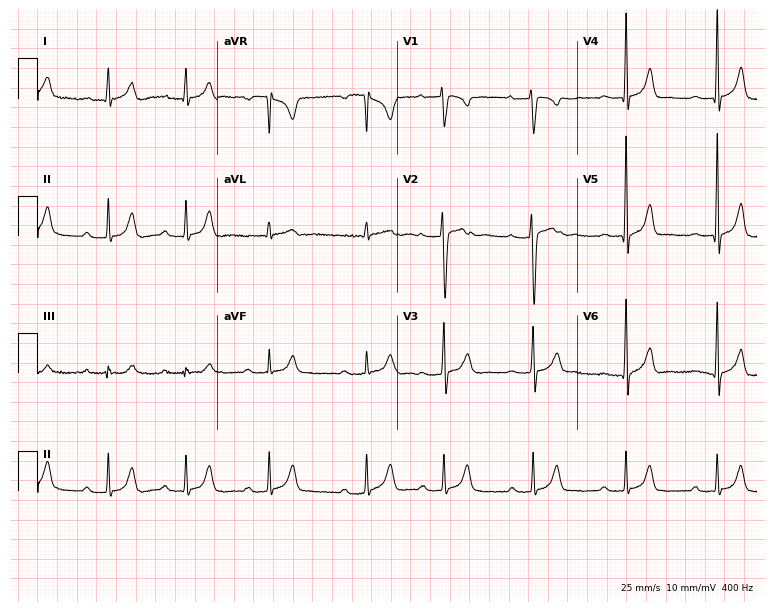
12-lead ECG (7.3-second recording at 400 Hz) from a 20-year-old man. Screened for six findings — first-degree AV block, right bundle branch block, left bundle branch block, sinus bradycardia, atrial fibrillation, sinus tachycardia — none is recorded. Only these six findings were labelled.